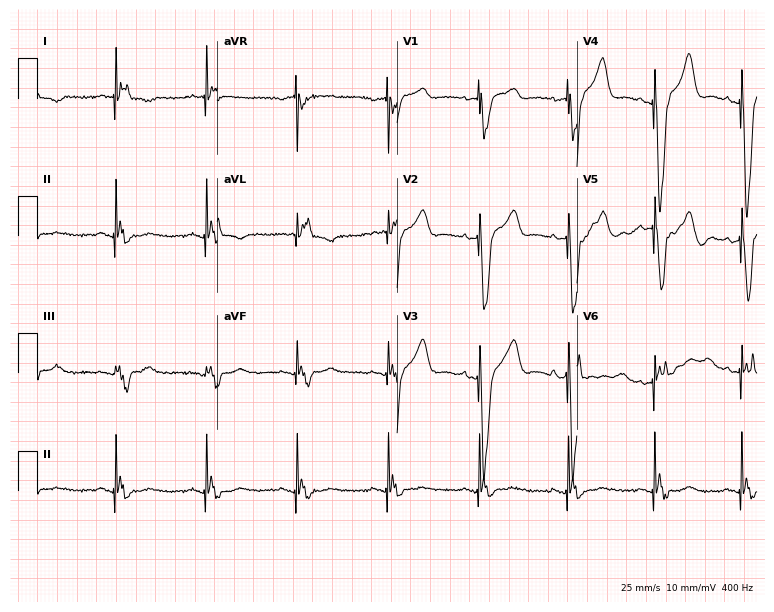
12-lead ECG from a 73-year-old female patient (7.3-second recording at 400 Hz). No first-degree AV block, right bundle branch block, left bundle branch block, sinus bradycardia, atrial fibrillation or sinus tachycardia recorded for this tracing.